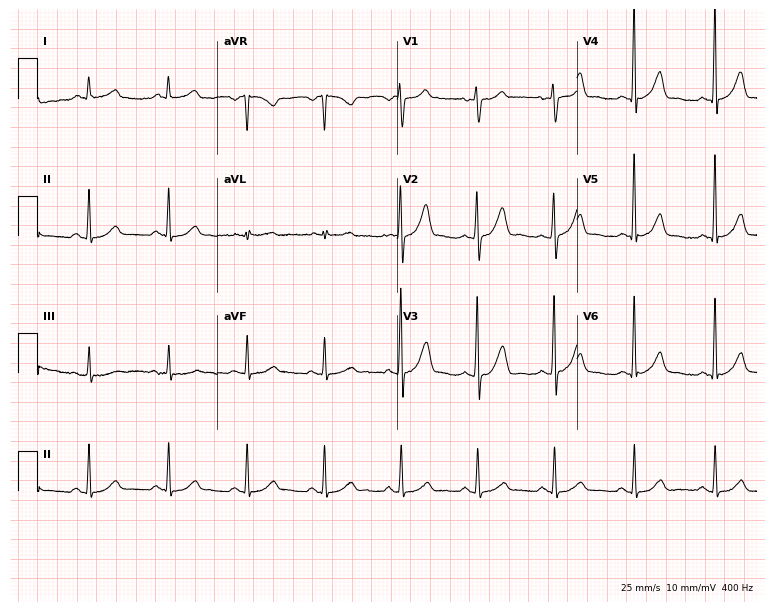
12-lead ECG from a male, 58 years old. Screened for six findings — first-degree AV block, right bundle branch block, left bundle branch block, sinus bradycardia, atrial fibrillation, sinus tachycardia — none is recorded. Other findings, if any, are not listed.